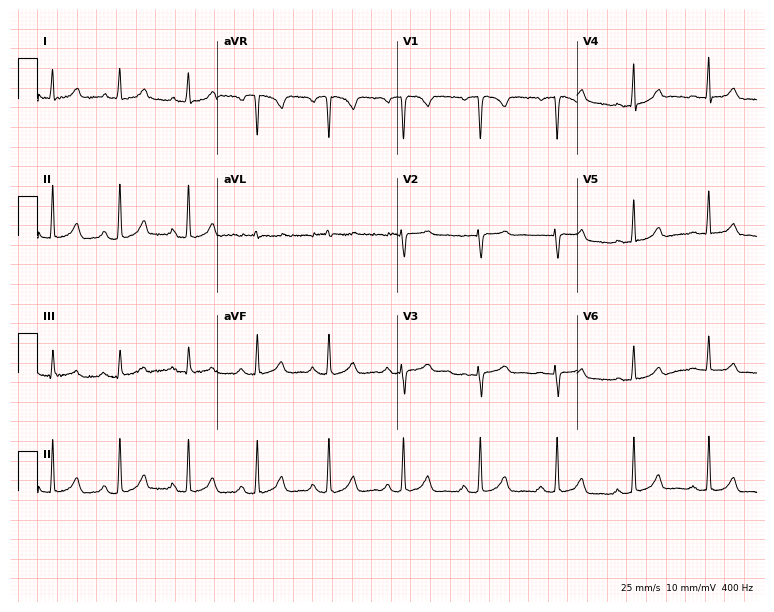
ECG — a 35-year-old female patient. Screened for six findings — first-degree AV block, right bundle branch block, left bundle branch block, sinus bradycardia, atrial fibrillation, sinus tachycardia — none is recorded. Findings outside these six are not listed.